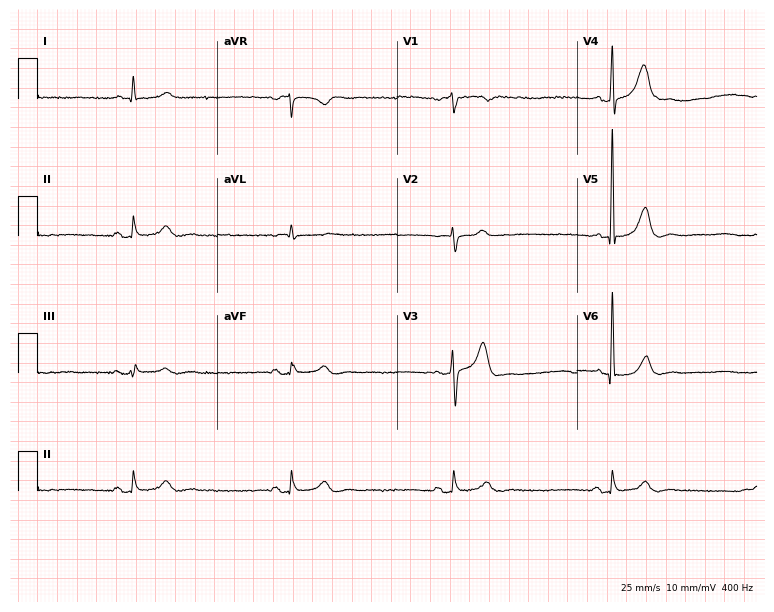
Resting 12-lead electrocardiogram (7.3-second recording at 400 Hz). Patient: a male, 76 years old. The tracing shows sinus bradycardia (a sinus rate of 50 beats per minute or less).